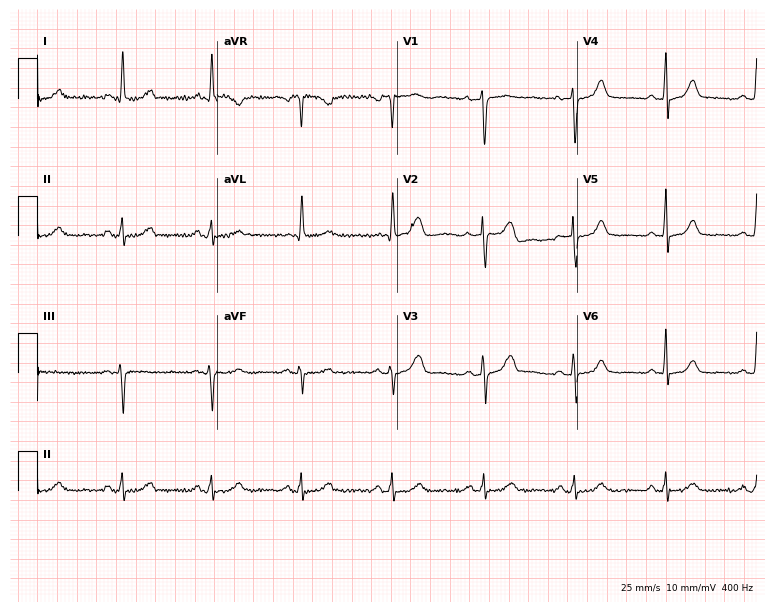
Resting 12-lead electrocardiogram. Patient: a female, 81 years old. Read as a normal ECG.